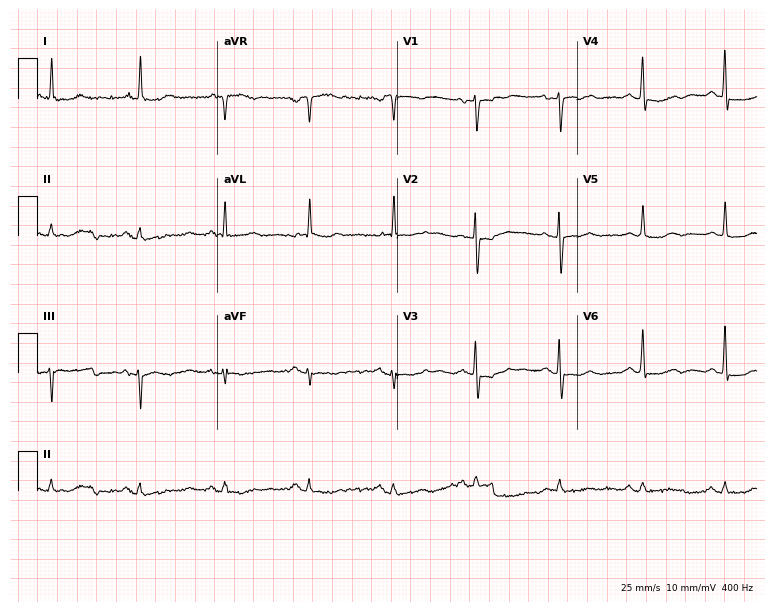
ECG — a 70-year-old female patient. Screened for six findings — first-degree AV block, right bundle branch block (RBBB), left bundle branch block (LBBB), sinus bradycardia, atrial fibrillation (AF), sinus tachycardia — none is recorded.